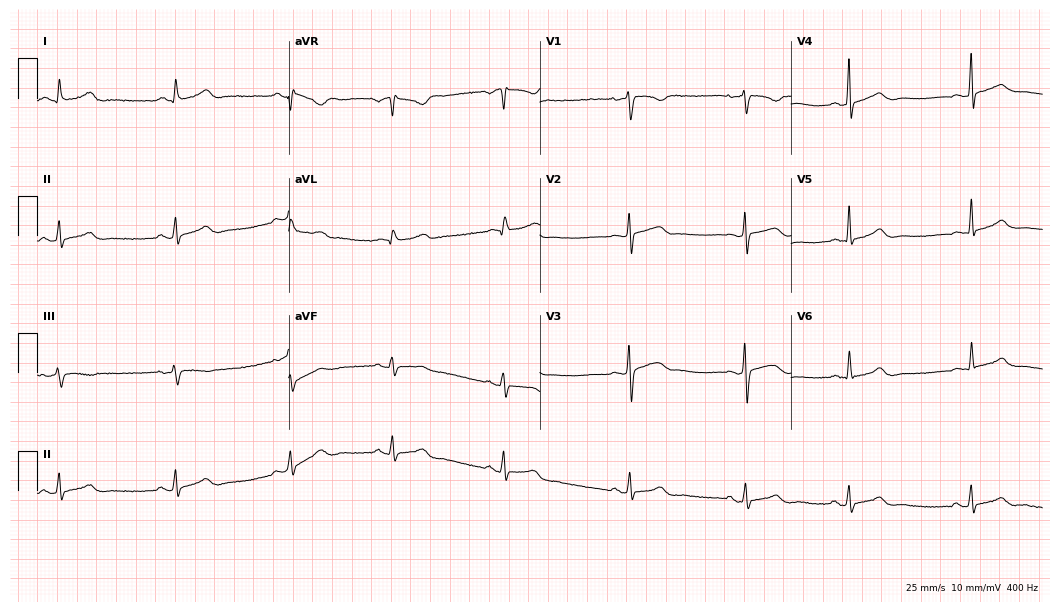
12-lead ECG from a female, 22 years old. Labelled as a normal ECG.